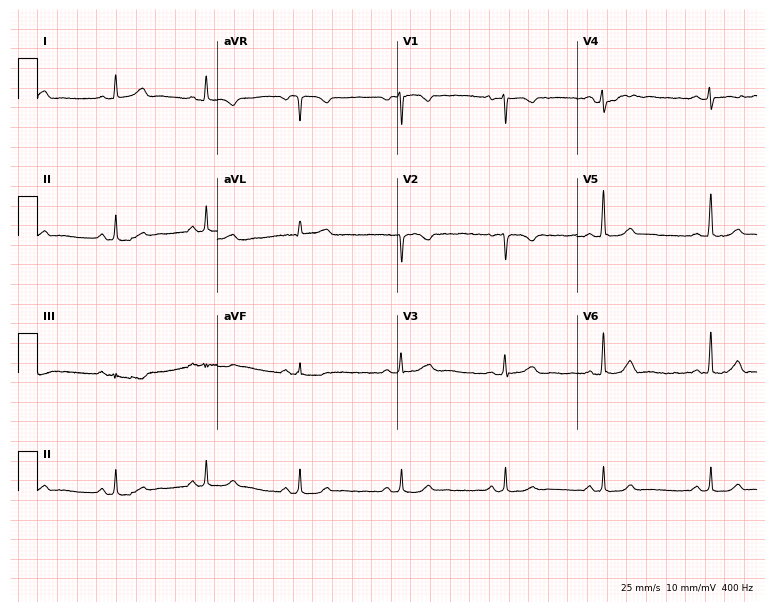
ECG — a woman, 26 years old. Screened for six findings — first-degree AV block, right bundle branch block, left bundle branch block, sinus bradycardia, atrial fibrillation, sinus tachycardia — none is recorded.